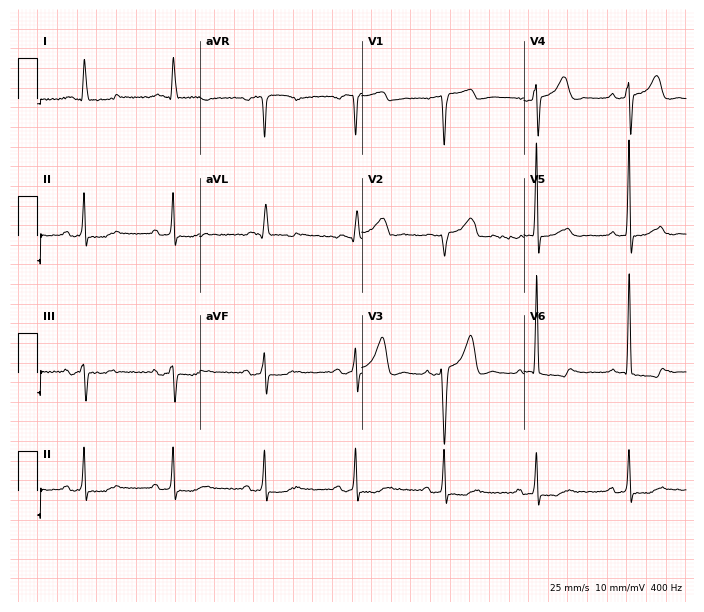
12-lead ECG from a female patient, 66 years old (6.6-second recording at 400 Hz). No first-degree AV block, right bundle branch block, left bundle branch block, sinus bradycardia, atrial fibrillation or sinus tachycardia recorded for this tracing.